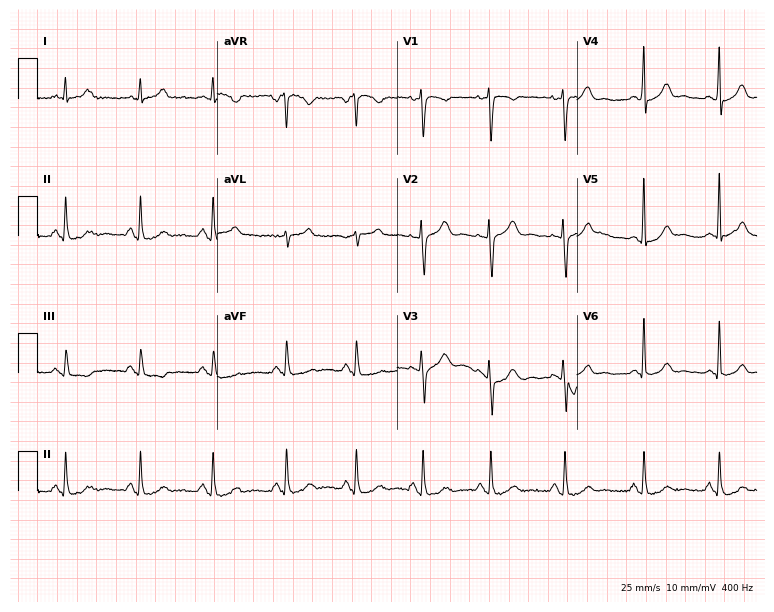
12-lead ECG from a woman, 33 years old (7.3-second recording at 400 Hz). Recorded interpretation: within normal limits.